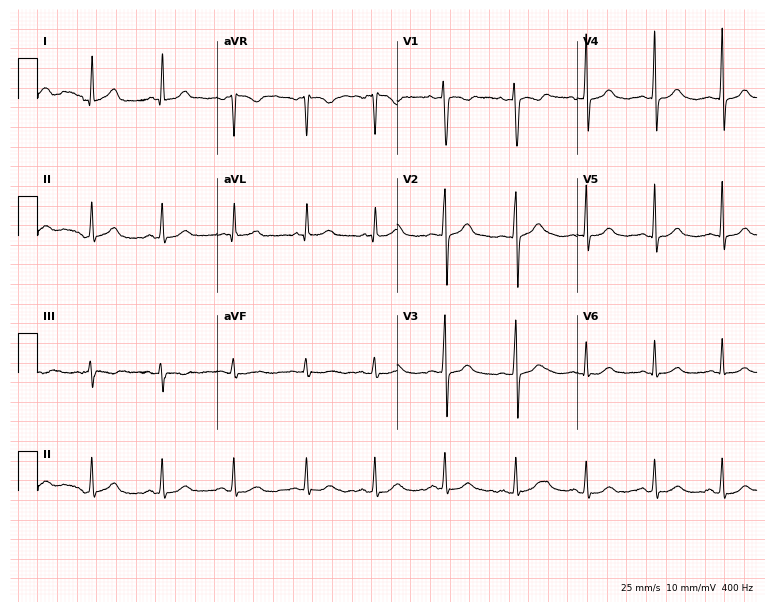
Electrocardiogram (7.3-second recording at 400 Hz), a woman, 39 years old. Overall reading on record: normal ECG.